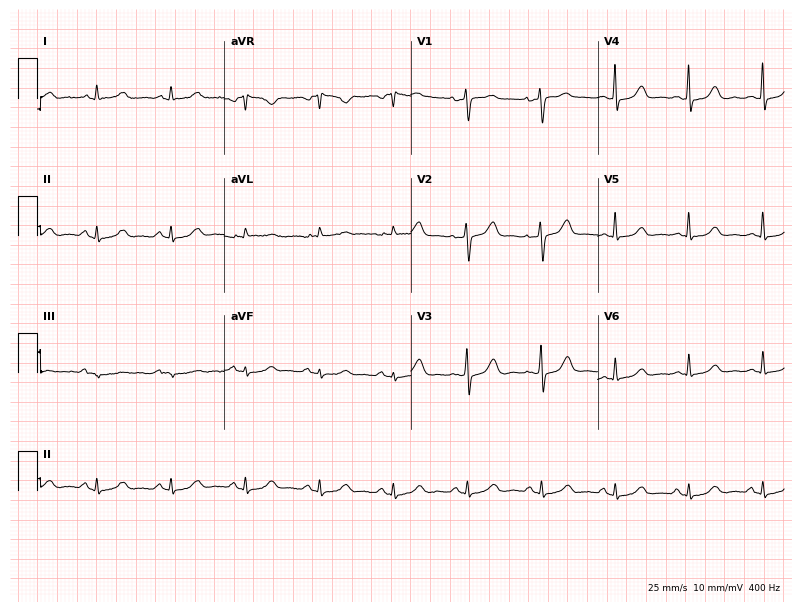
12-lead ECG from a female, 71 years old. Labelled as a normal ECG.